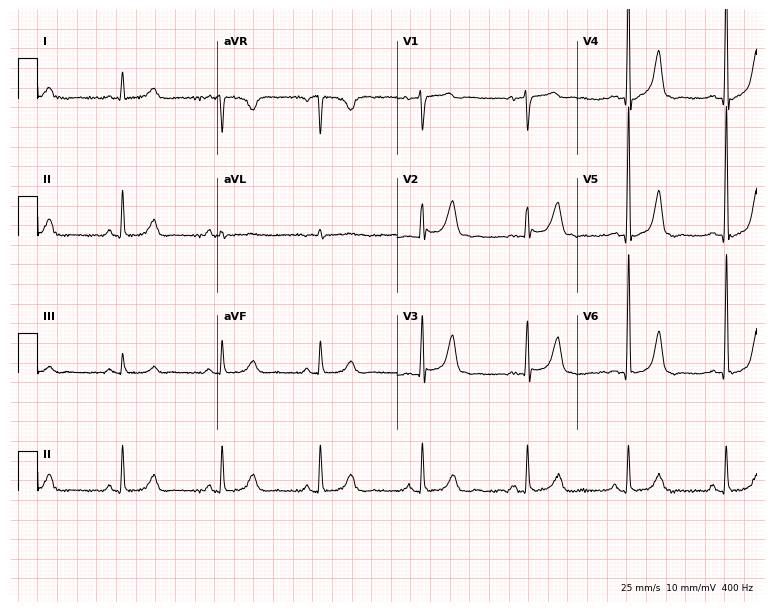
Resting 12-lead electrocardiogram. Patient: a 66-year-old male. None of these six findings is recorded: first-degree AV block, right bundle branch block, left bundle branch block, sinus bradycardia, atrial fibrillation, sinus tachycardia.